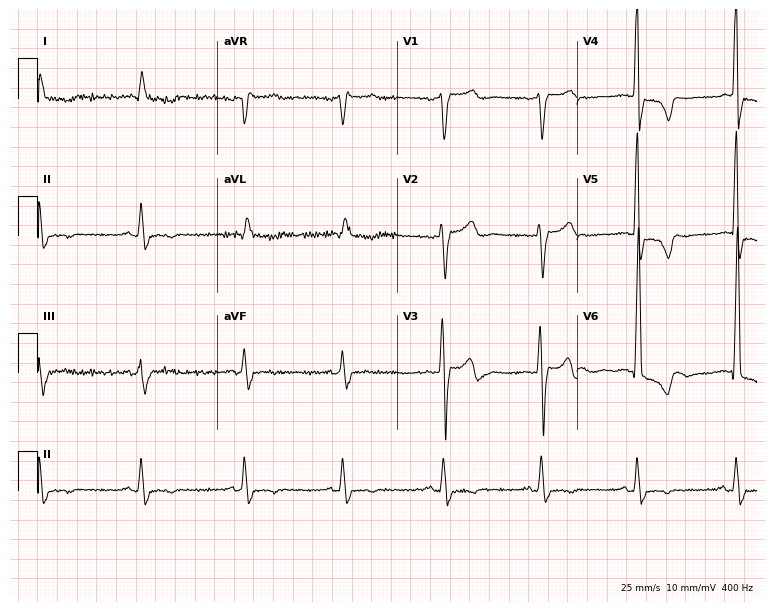
ECG (7.3-second recording at 400 Hz) — a man, 71 years old. Screened for six findings — first-degree AV block, right bundle branch block (RBBB), left bundle branch block (LBBB), sinus bradycardia, atrial fibrillation (AF), sinus tachycardia — none is recorded.